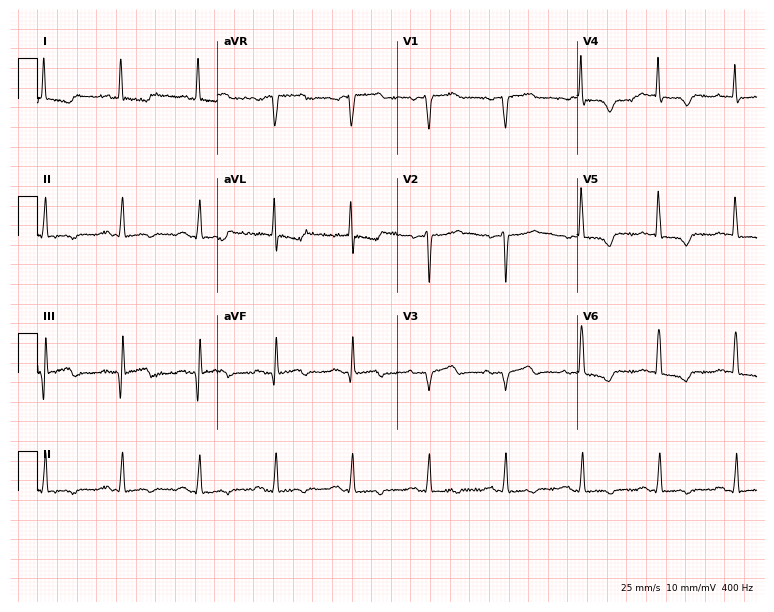
12-lead ECG from a female patient, 80 years old. No first-degree AV block, right bundle branch block, left bundle branch block, sinus bradycardia, atrial fibrillation or sinus tachycardia recorded for this tracing.